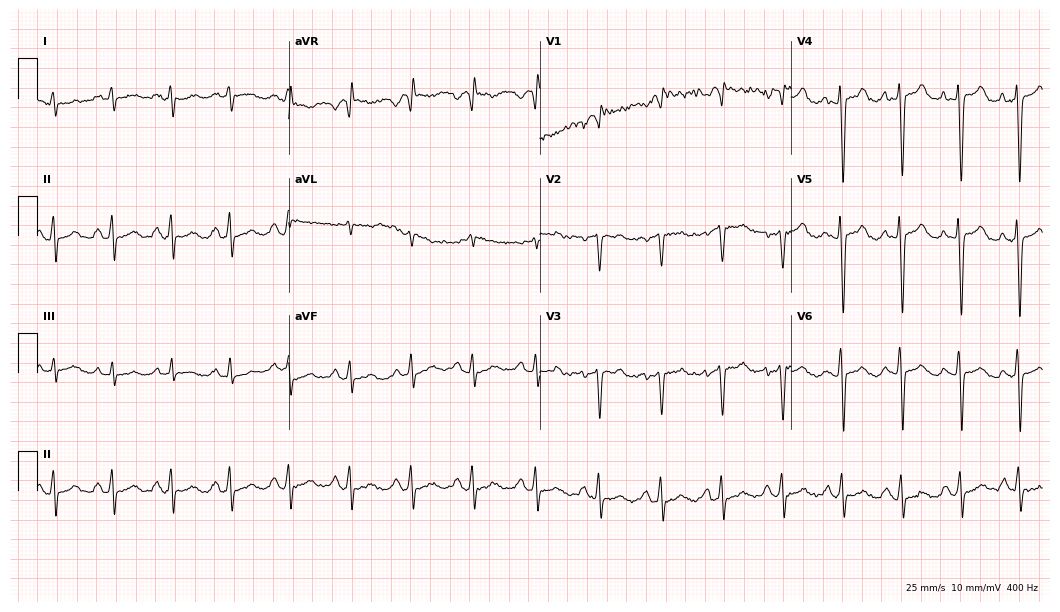
Standard 12-lead ECG recorded from a 58-year-old female patient. None of these six findings is recorded: first-degree AV block, right bundle branch block (RBBB), left bundle branch block (LBBB), sinus bradycardia, atrial fibrillation (AF), sinus tachycardia. Other findings, if any, are not listed.